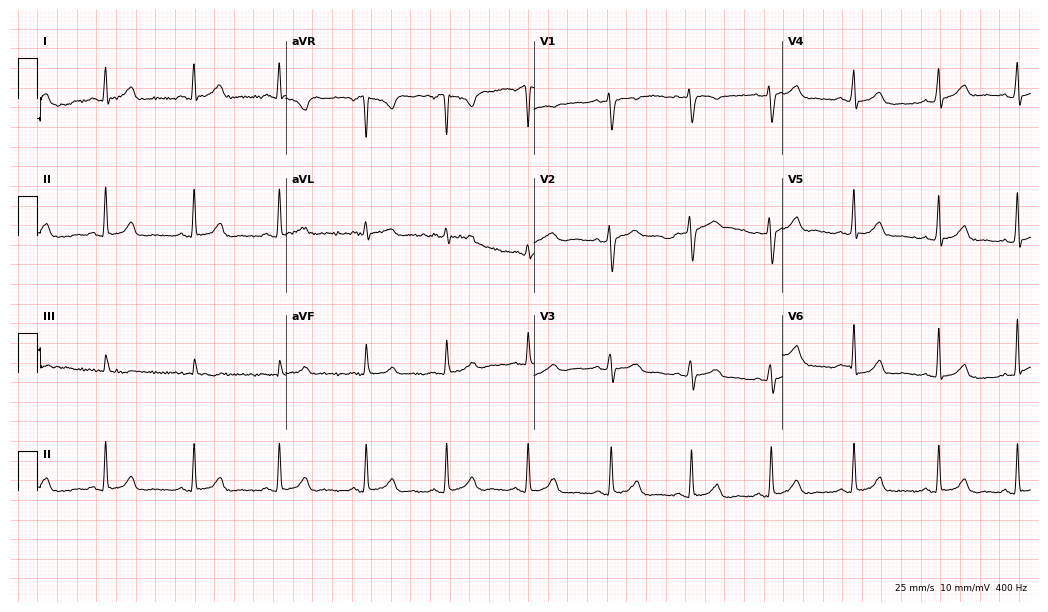
ECG — a female patient, 38 years old. Labelled as a normal ECG.